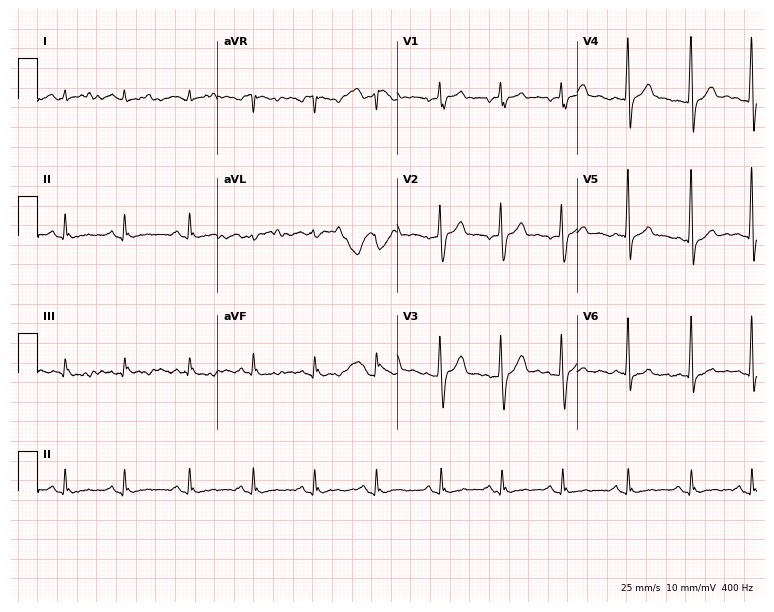
12-lead ECG from a male patient, 53 years old. No first-degree AV block, right bundle branch block (RBBB), left bundle branch block (LBBB), sinus bradycardia, atrial fibrillation (AF) or sinus tachycardia recorded for this tracing.